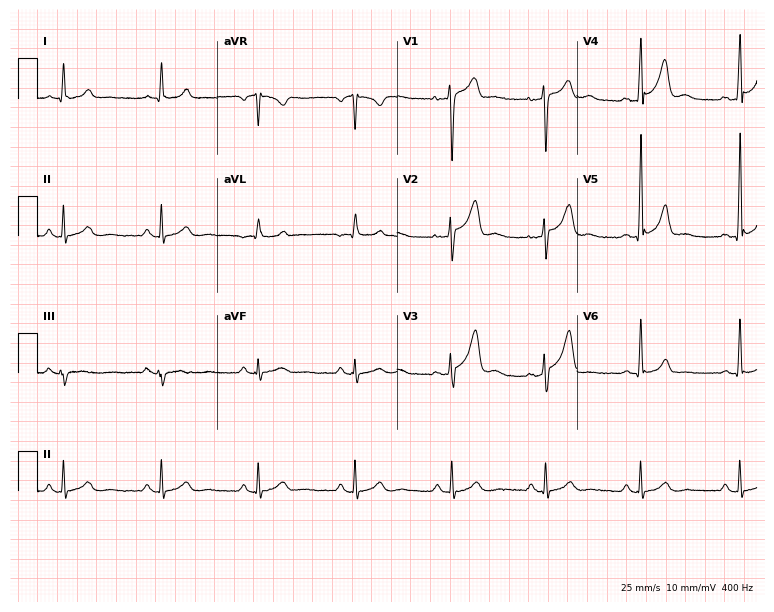
12-lead ECG (7.3-second recording at 400 Hz) from a 38-year-old male. Screened for six findings — first-degree AV block, right bundle branch block, left bundle branch block, sinus bradycardia, atrial fibrillation, sinus tachycardia — none is recorded. Other findings, if any, are not listed.